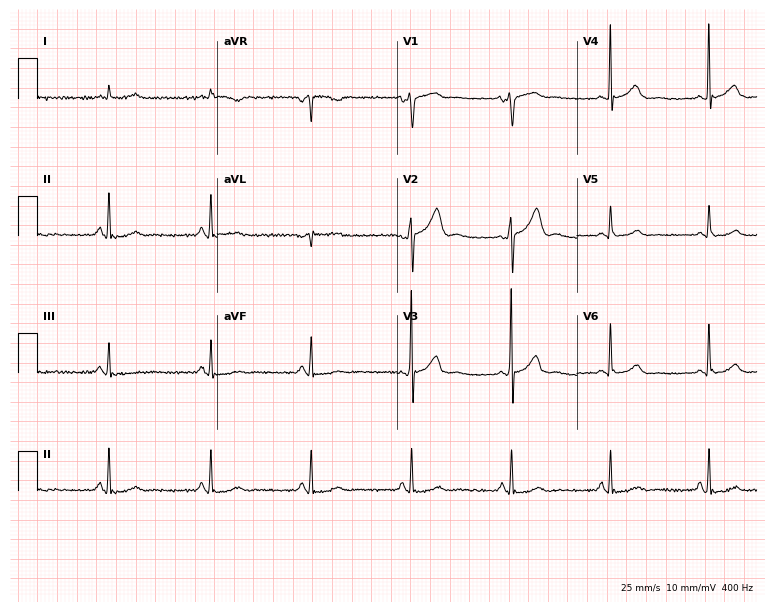
12-lead ECG from a 58-year-old male patient. Screened for six findings — first-degree AV block, right bundle branch block (RBBB), left bundle branch block (LBBB), sinus bradycardia, atrial fibrillation (AF), sinus tachycardia — none is recorded.